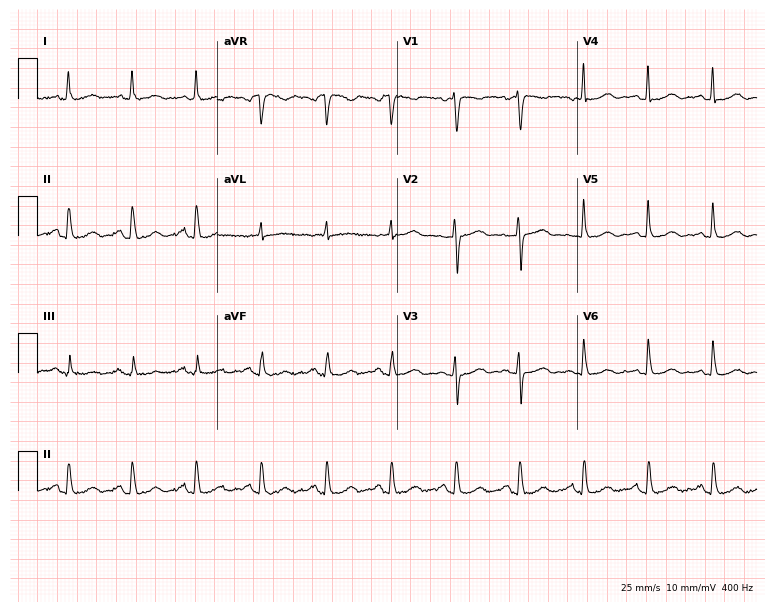
ECG (7.3-second recording at 400 Hz) — a 67-year-old female. Labelled as a normal ECG.